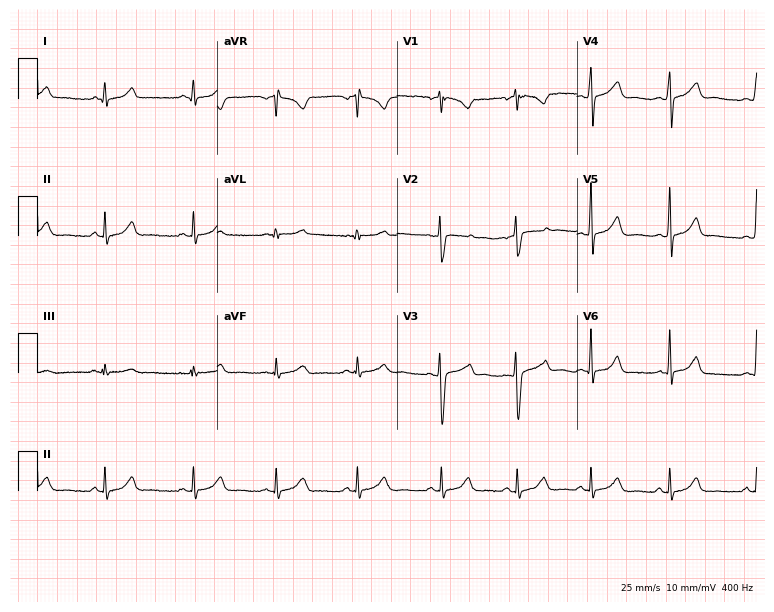
ECG — a 21-year-old woman. Labelled as a normal ECG.